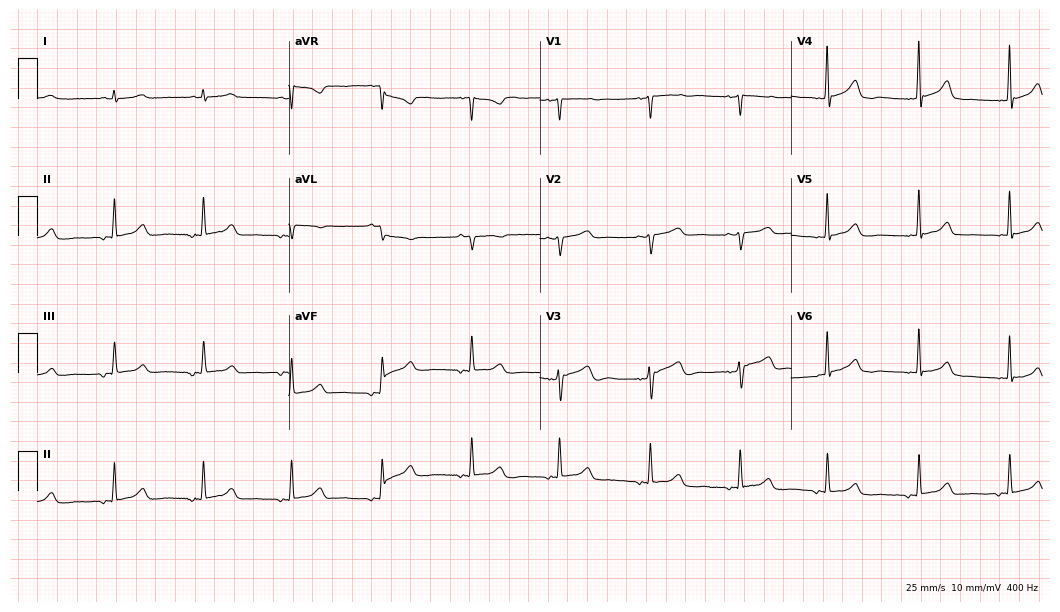
12-lead ECG from a 73-year-old female (10.2-second recording at 400 Hz). No first-degree AV block, right bundle branch block (RBBB), left bundle branch block (LBBB), sinus bradycardia, atrial fibrillation (AF) or sinus tachycardia recorded for this tracing.